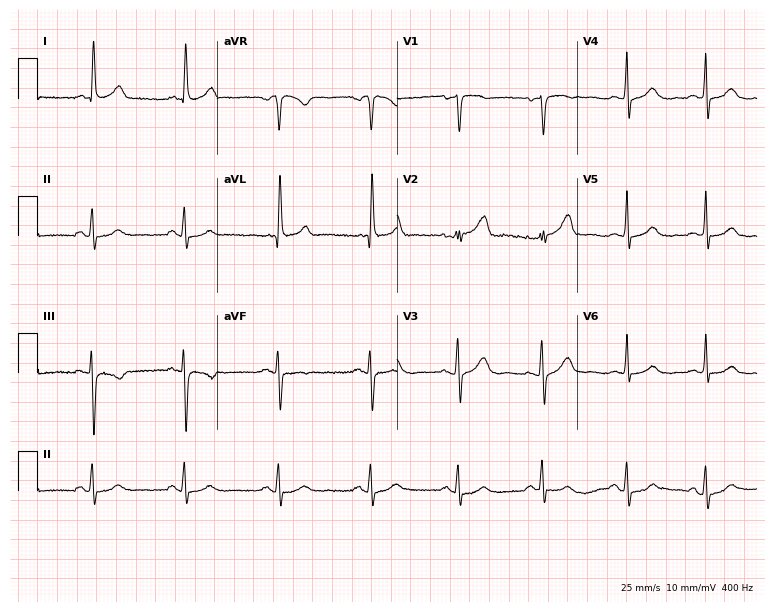
Standard 12-lead ECG recorded from a female patient, 59 years old. Read as a normal ECG.